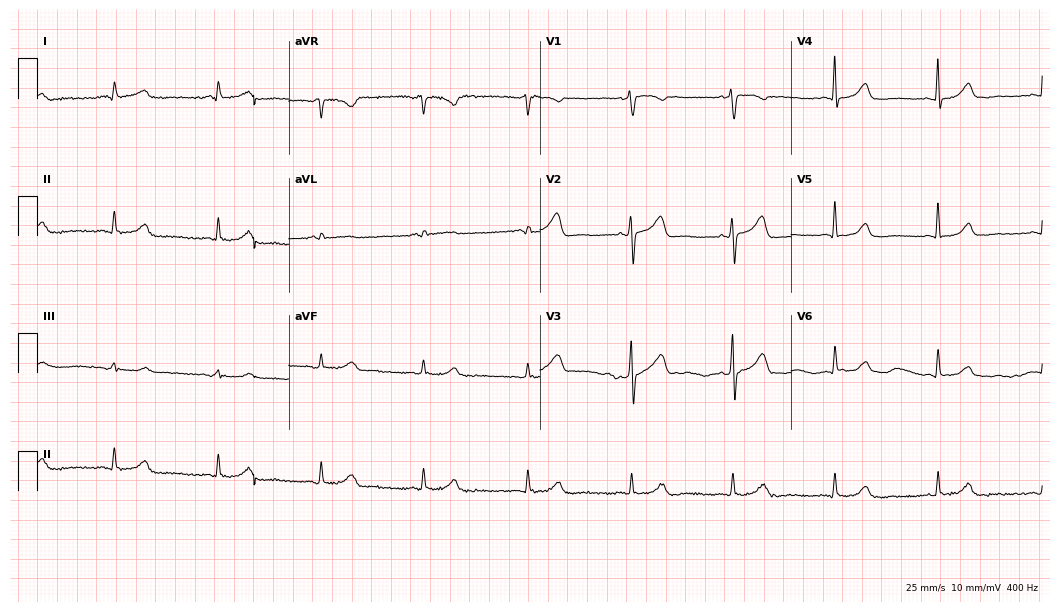
12-lead ECG from a 49-year-old woman. Labelled as a normal ECG.